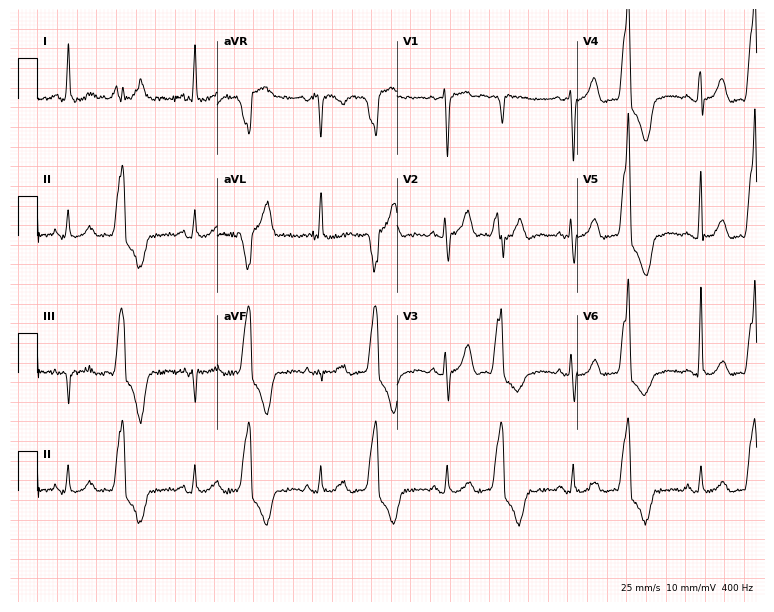
12-lead ECG from a man, 51 years old (7.3-second recording at 400 Hz). No first-degree AV block, right bundle branch block, left bundle branch block, sinus bradycardia, atrial fibrillation or sinus tachycardia recorded for this tracing.